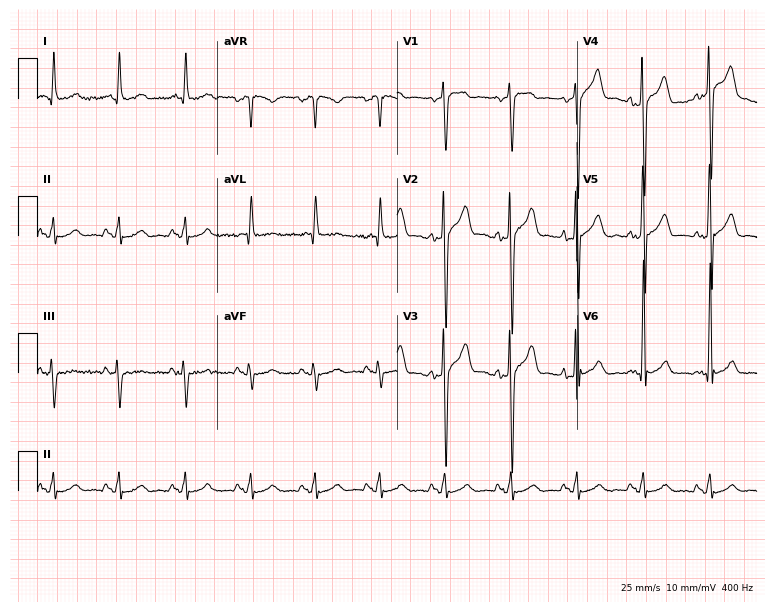
Resting 12-lead electrocardiogram. Patient: a male, 75 years old. None of these six findings is recorded: first-degree AV block, right bundle branch block, left bundle branch block, sinus bradycardia, atrial fibrillation, sinus tachycardia.